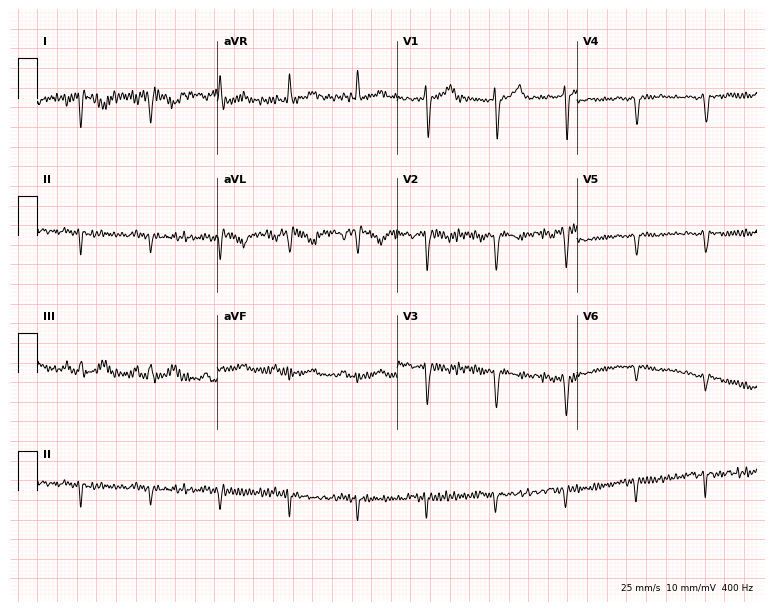
Standard 12-lead ECG recorded from a female, 40 years old (7.3-second recording at 400 Hz). None of these six findings is recorded: first-degree AV block, right bundle branch block, left bundle branch block, sinus bradycardia, atrial fibrillation, sinus tachycardia.